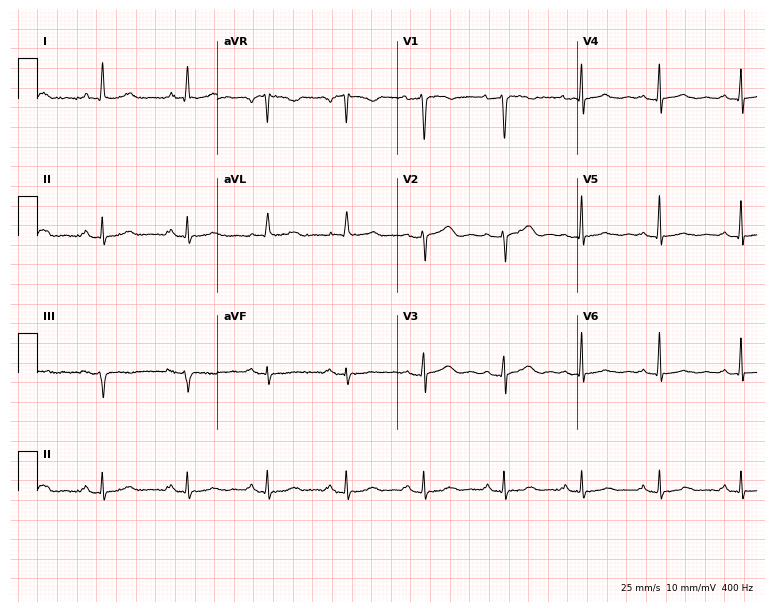
Standard 12-lead ECG recorded from a 47-year-old female patient (7.3-second recording at 400 Hz). None of these six findings is recorded: first-degree AV block, right bundle branch block (RBBB), left bundle branch block (LBBB), sinus bradycardia, atrial fibrillation (AF), sinus tachycardia. Other findings, if any, are not listed.